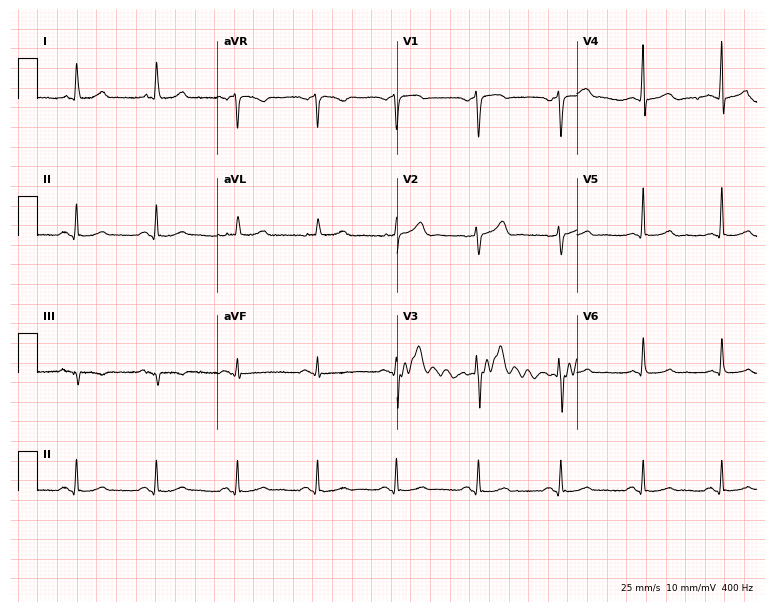
Resting 12-lead electrocardiogram (7.3-second recording at 400 Hz). Patient: a male, 57 years old. Read as a normal ECG.